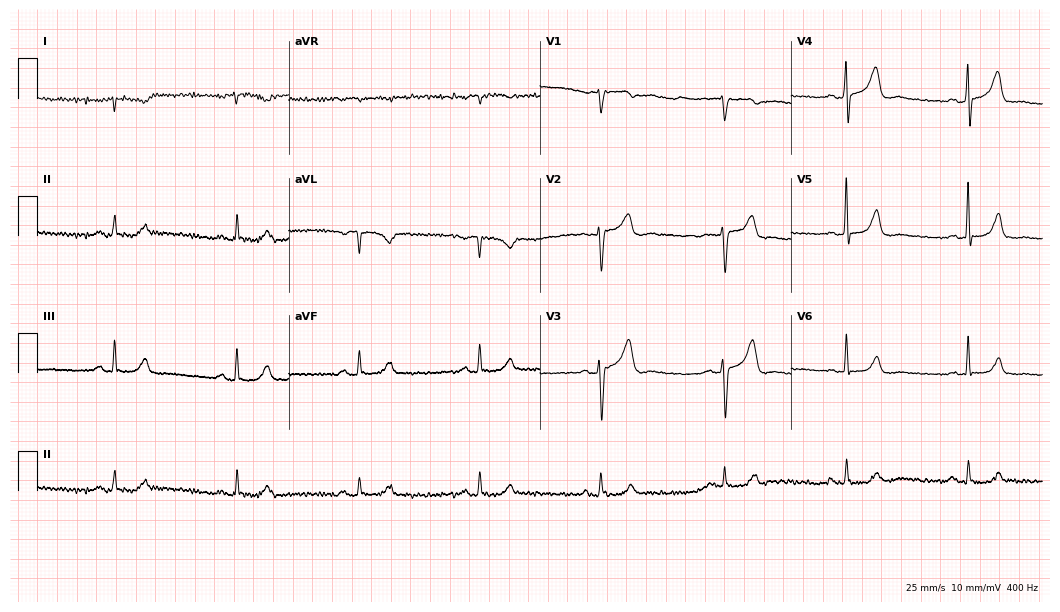
Electrocardiogram, a 63-year-old male patient. Of the six screened findings (first-degree AV block, right bundle branch block (RBBB), left bundle branch block (LBBB), sinus bradycardia, atrial fibrillation (AF), sinus tachycardia), none is recorded. Only these six findings were labelled.